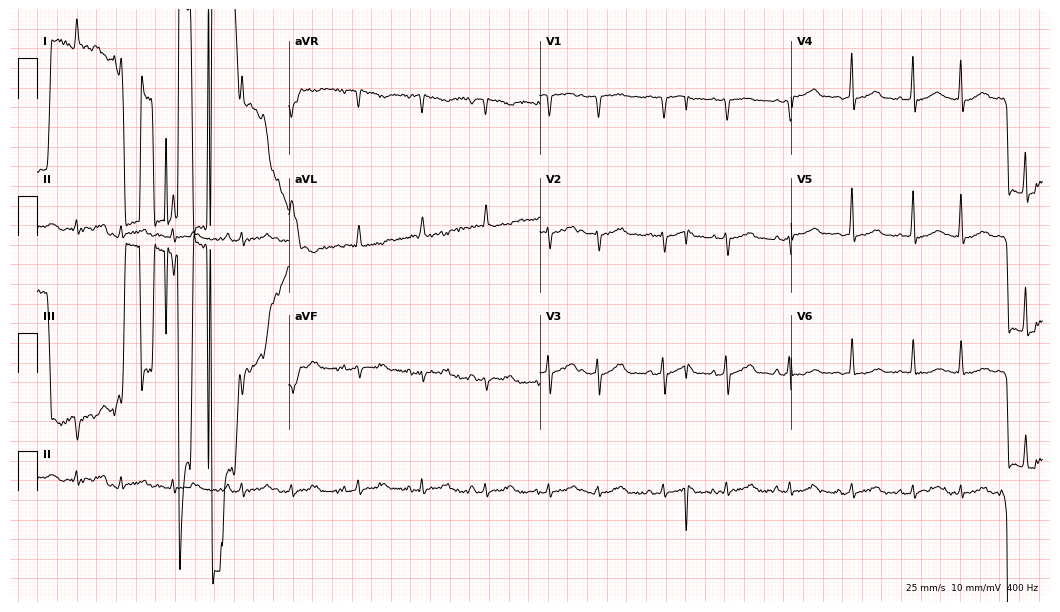
12-lead ECG from a male, 80 years old. Screened for six findings — first-degree AV block, right bundle branch block, left bundle branch block, sinus bradycardia, atrial fibrillation, sinus tachycardia — none is recorded.